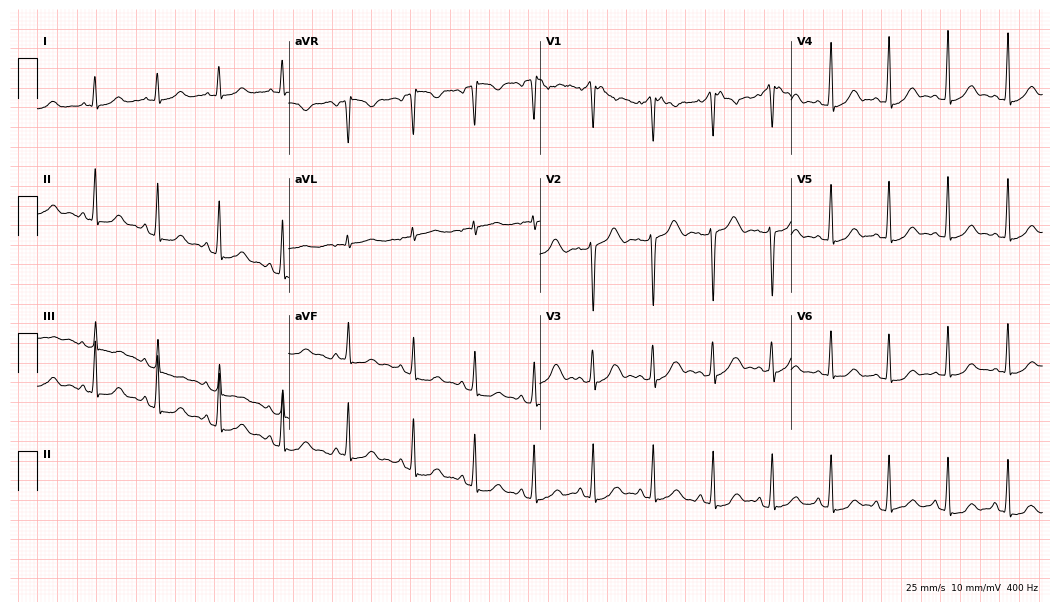
Standard 12-lead ECG recorded from a female, 19 years old (10.2-second recording at 400 Hz). Read as a normal ECG.